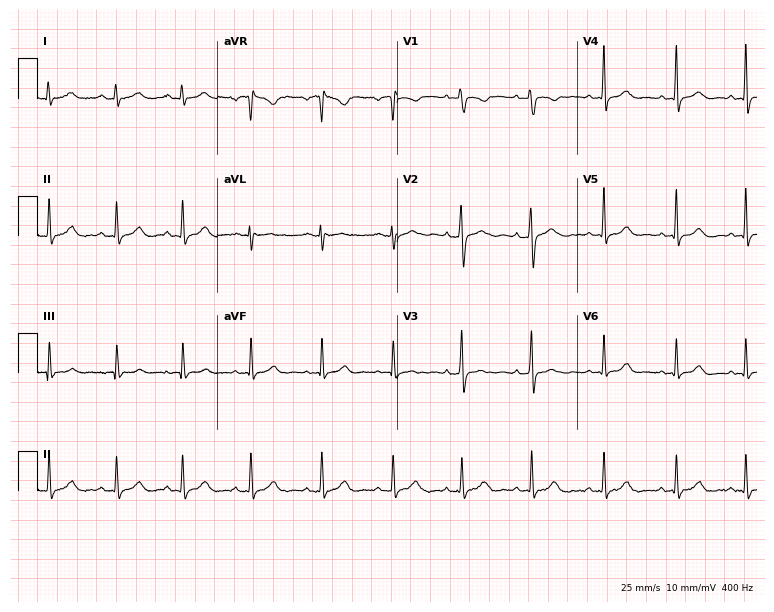
12-lead ECG from a 28-year-old woman. Labelled as a normal ECG.